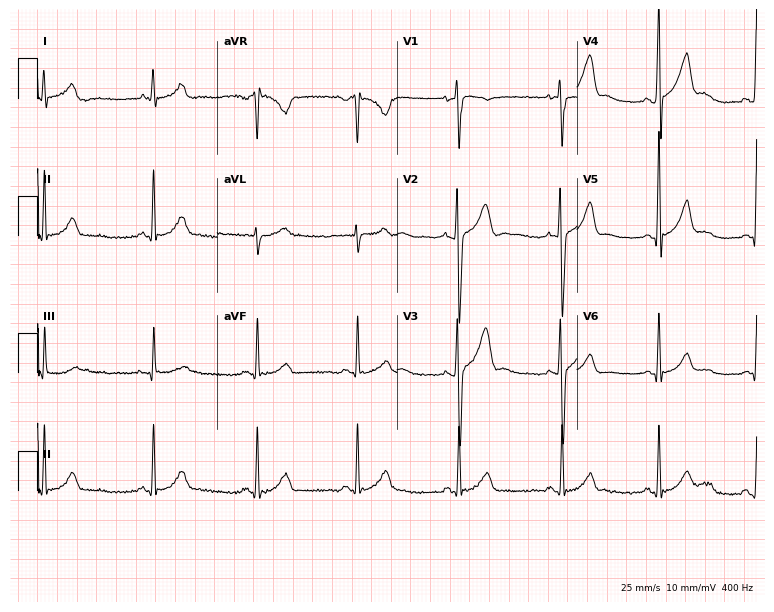
12-lead ECG from a male, 30 years old. Screened for six findings — first-degree AV block, right bundle branch block, left bundle branch block, sinus bradycardia, atrial fibrillation, sinus tachycardia — none is recorded.